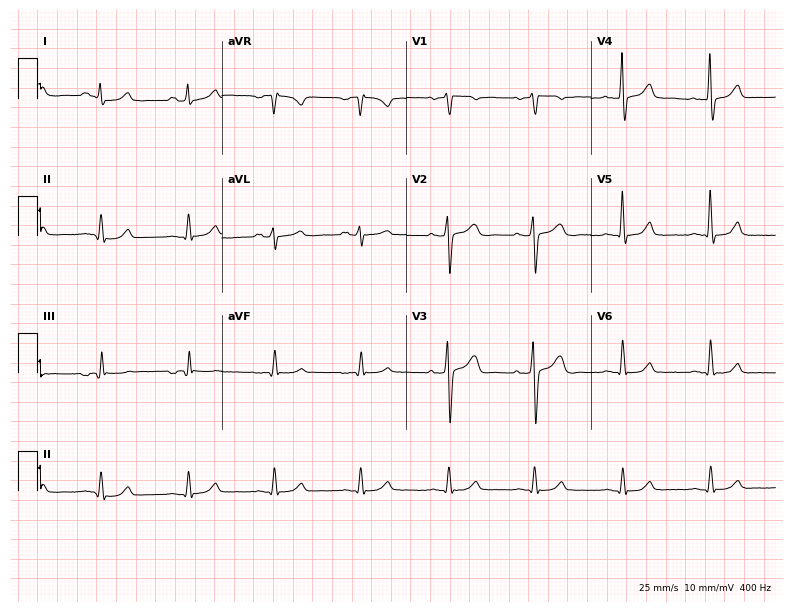
Electrocardiogram, a male, 68 years old. Overall reading on record: normal ECG.